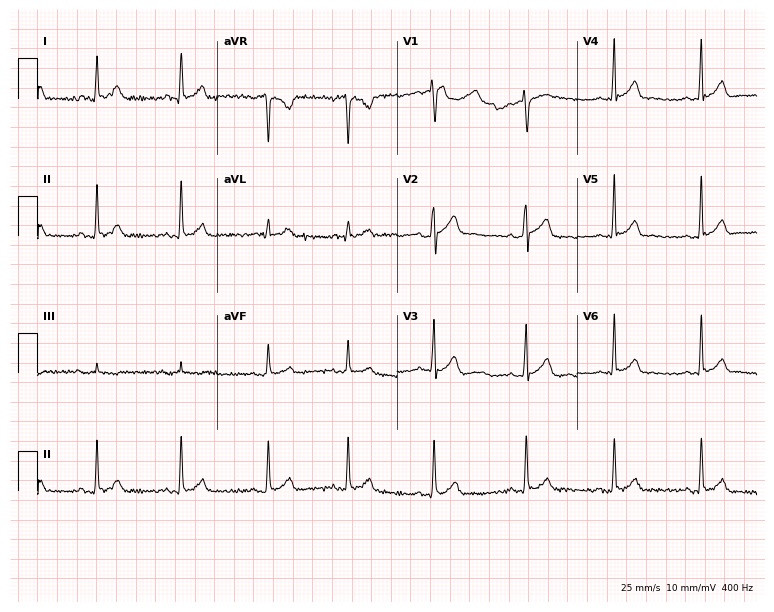
12-lead ECG from a 19-year-old man. Labelled as a normal ECG.